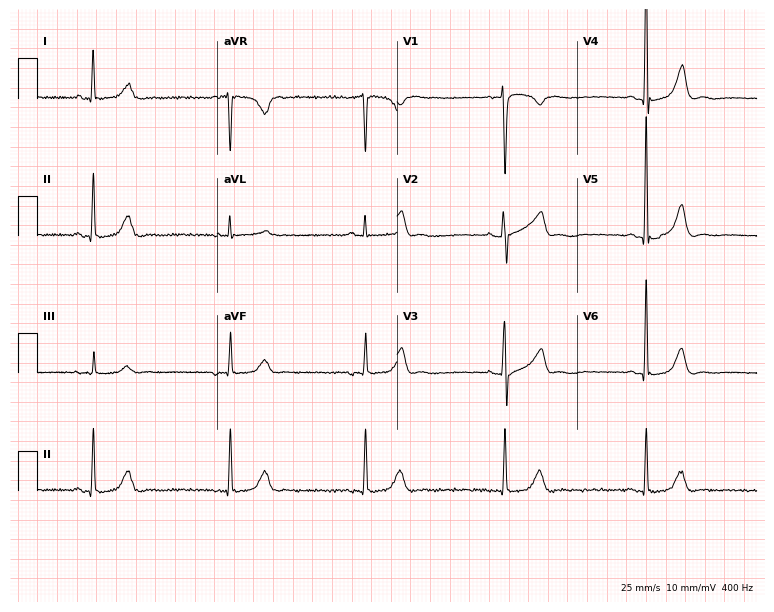
Standard 12-lead ECG recorded from a woman, 41 years old. None of these six findings is recorded: first-degree AV block, right bundle branch block, left bundle branch block, sinus bradycardia, atrial fibrillation, sinus tachycardia. Other findings, if any, are not listed.